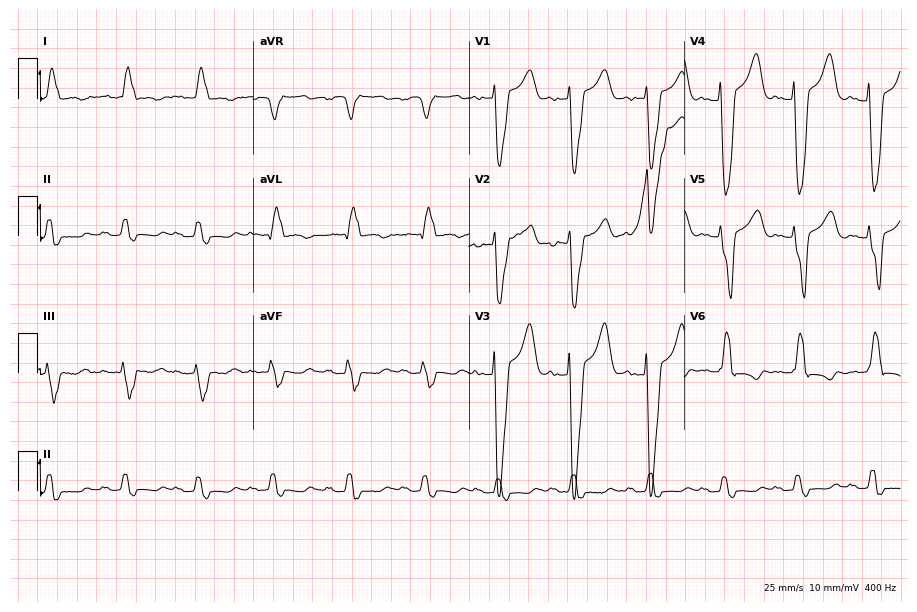
Standard 12-lead ECG recorded from a 76-year-old female patient. The tracing shows left bundle branch block.